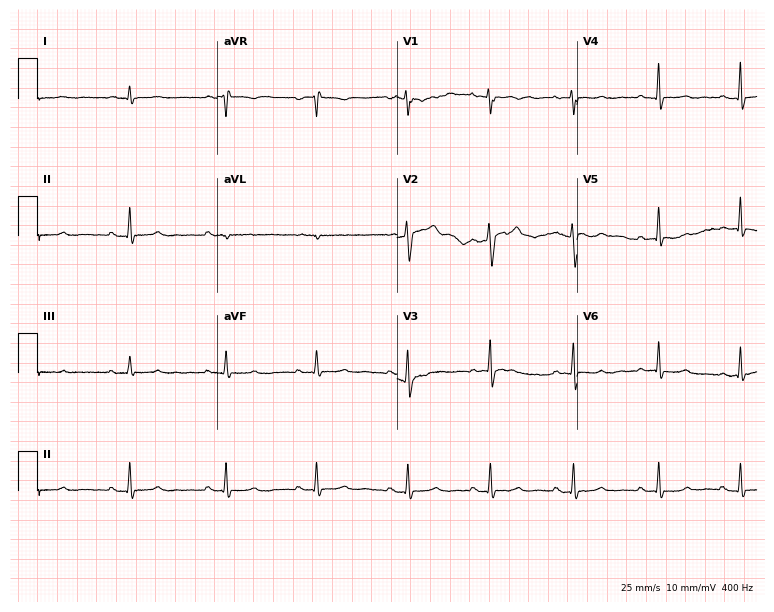
Resting 12-lead electrocardiogram. Patient: a female, 27 years old. None of these six findings is recorded: first-degree AV block, right bundle branch block, left bundle branch block, sinus bradycardia, atrial fibrillation, sinus tachycardia. Only these six findings were labelled.